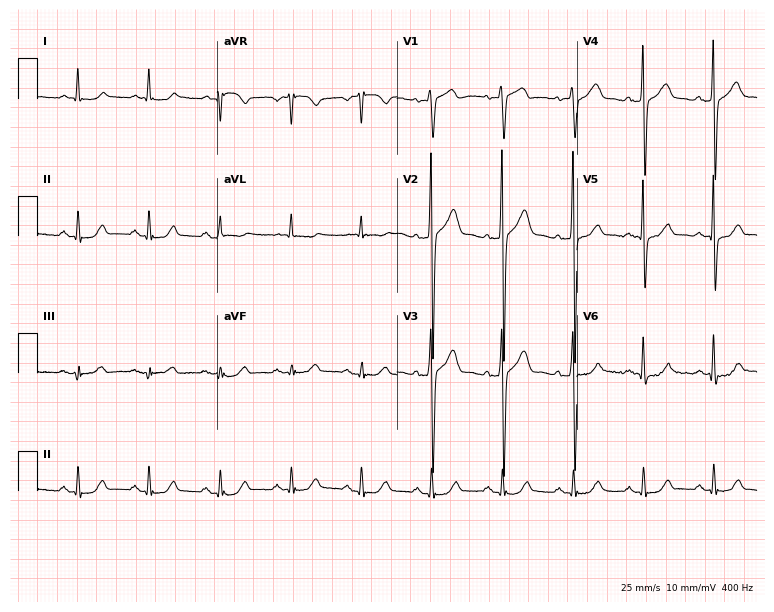
Standard 12-lead ECG recorded from a man, 57 years old (7.3-second recording at 400 Hz). Read as a normal ECG.